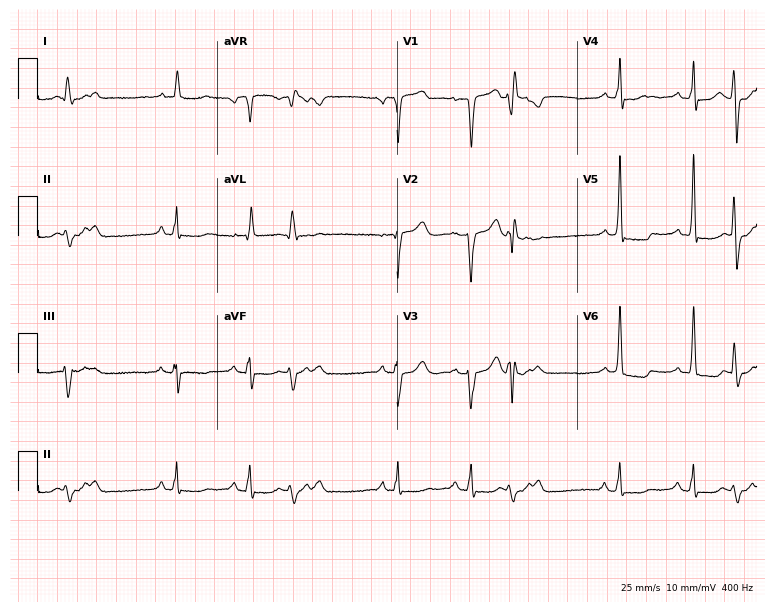
Electrocardiogram (7.3-second recording at 400 Hz), a 65-year-old female patient. Of the six screened findings (first-degree AV block, right bundle branch block, left bundle branch block, sinus bradycardia, atrial fibrillation, sinus tachycardia), none is recorded.